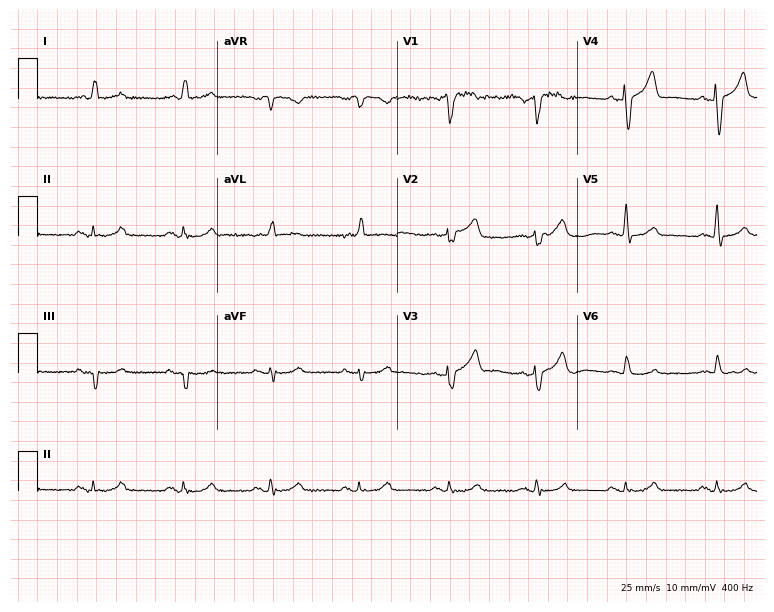
12-lead ECG from a 60-year-old man (7.3-second recording at 400 Hz). No first-degree AV block, right bundle branch block (RBBB), left bundle branch block (LBBB), sinus bradycardia, atrial fibrillation (AF) or sinus tachycardia recorded for this tracing.